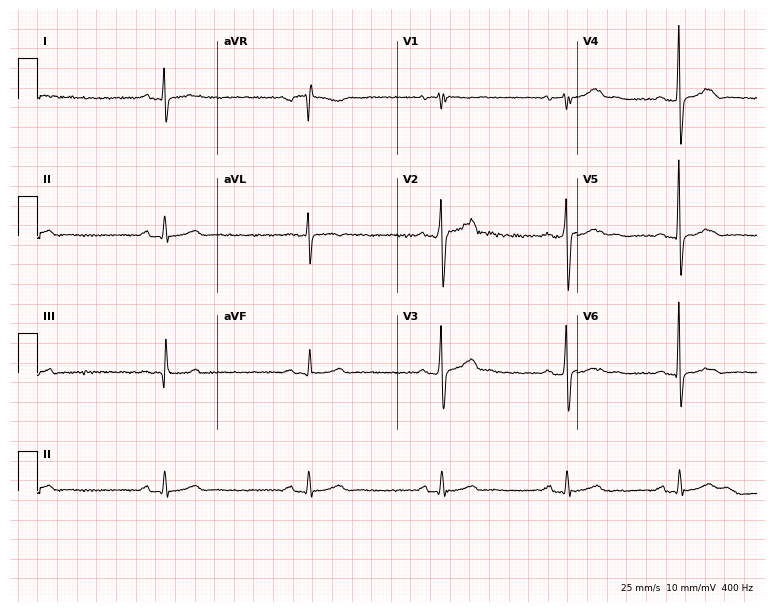
Standard 12-lead ECG recorded from a man, 19 years old (7.3-second recording at 400 Hz). The tracing shows sinus bradycardia (a sinus rate of 50 beats per minute or less).